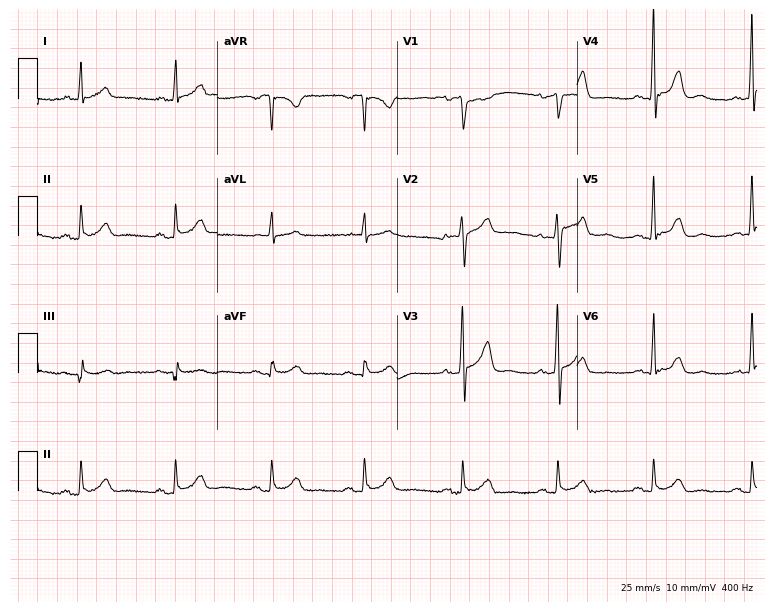
12-lead ECG (7.3-second recording at 400 Hz) from a female patient, 64 years old. Labelled as a normal ECG.